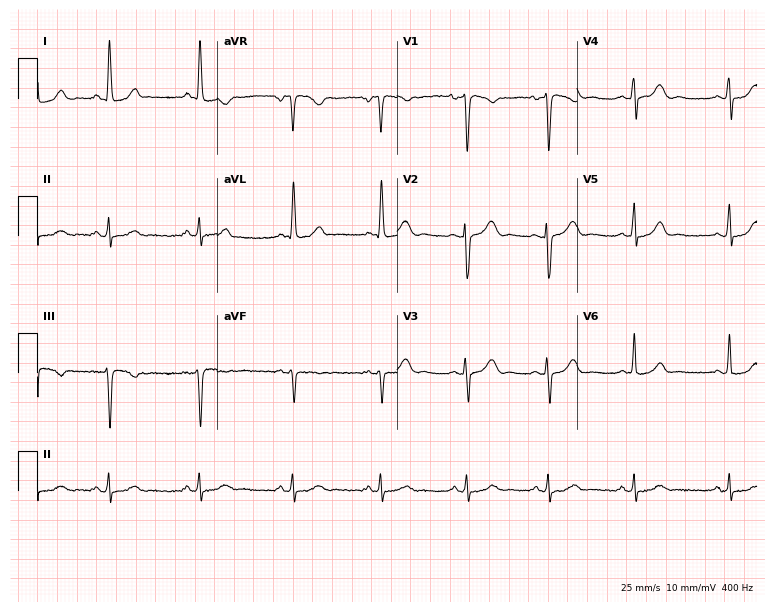
12-lead ECG from a 17-year-old female patient (7.3-second recording at 400 Hz). Recorded interpretation: within normal limits.